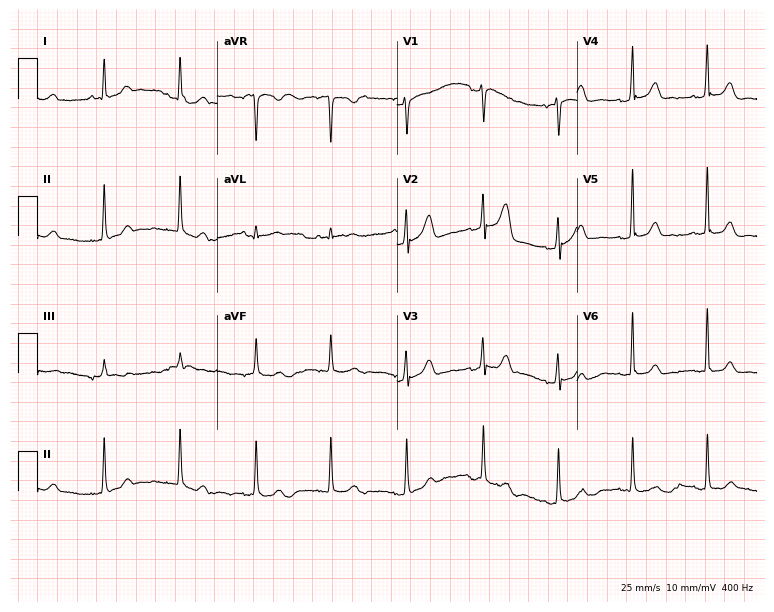
Electrocardiogram (7.3-second recording at 400 Hz), a female patient, 61 years old. Of the six screened findings (first-degree AV block, right bundle branch block (RBBB), left bundle branch block (LBBB), sinus bradycardia, atrial fibrillation (AF), sinus tachycardia), none is recorded. Findings outside these six are not listed.